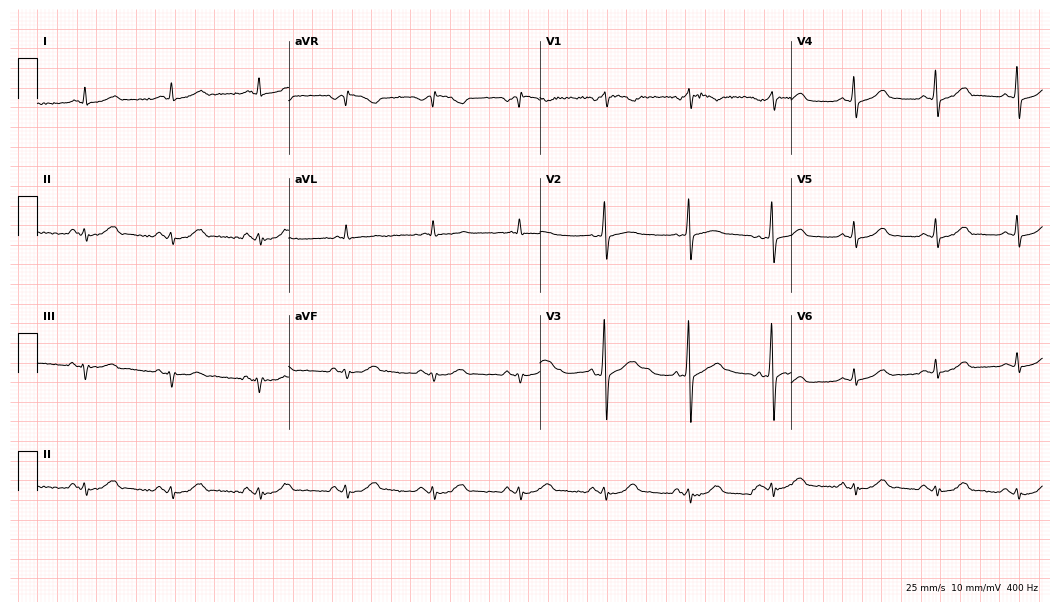
Resting 12-lead electrocardiogram (10.2-second recording at 400 Hz). Patient: an 80-year-old male. Read as a normal ECG.